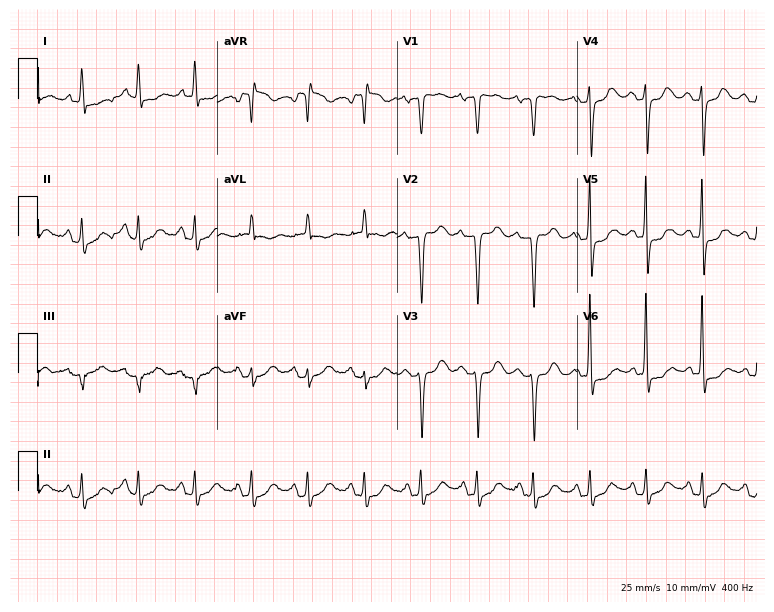
Standard 12-lead ECG recorded from a 68-year-old female. None of these six findings is recorded: first-degree AV block, right bundle branch block (RBBB), left bundle branch block (LBBB), sinus bradycardia, atrial fibrillation (AF), sinus tachycardia.